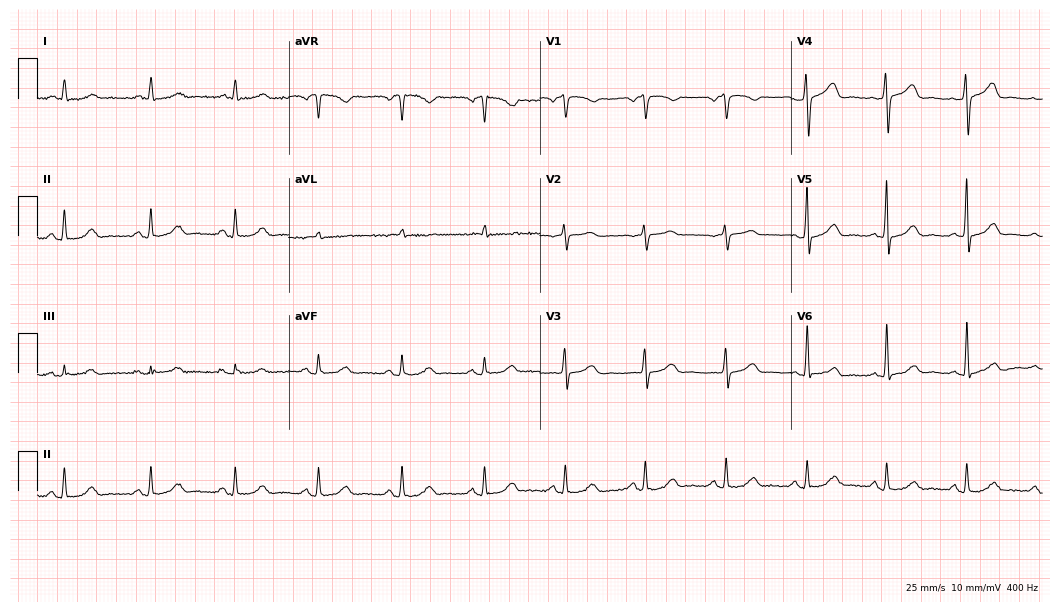
Resting 12-lead electrocardiogram (10.2-second recording at 400 Hz). Patient: a woman, 56 years old. Read as a normal ECG.